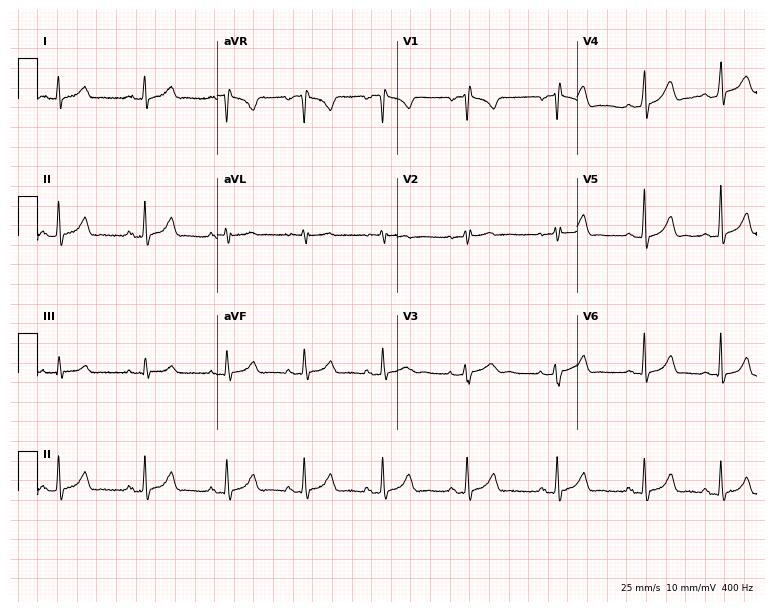
12-lead ECG (7.3-second recording at 400 Hz) from a female, 20 years old. Labelled as a normal ECG.